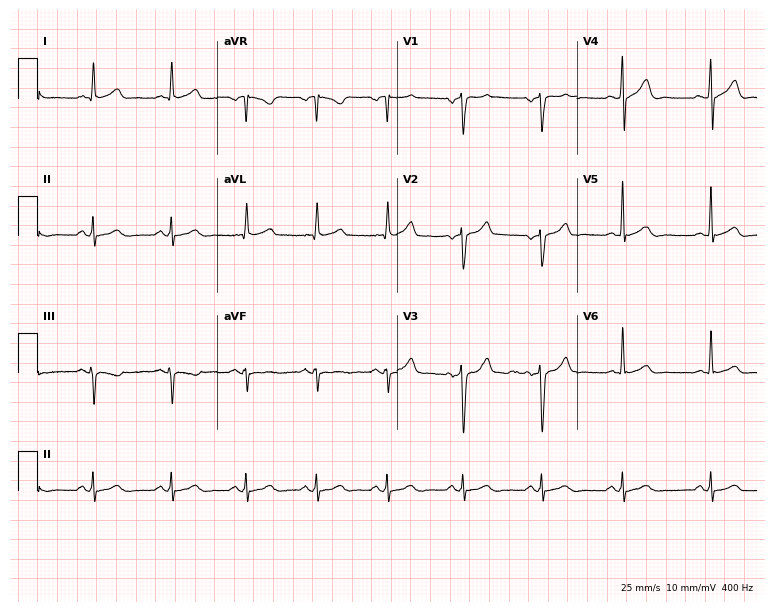
Resting 12-lead electrocardiogram (7.3-second recording at 400 Hz). Patient: a 69-year-old male. Read as a normal ECG.